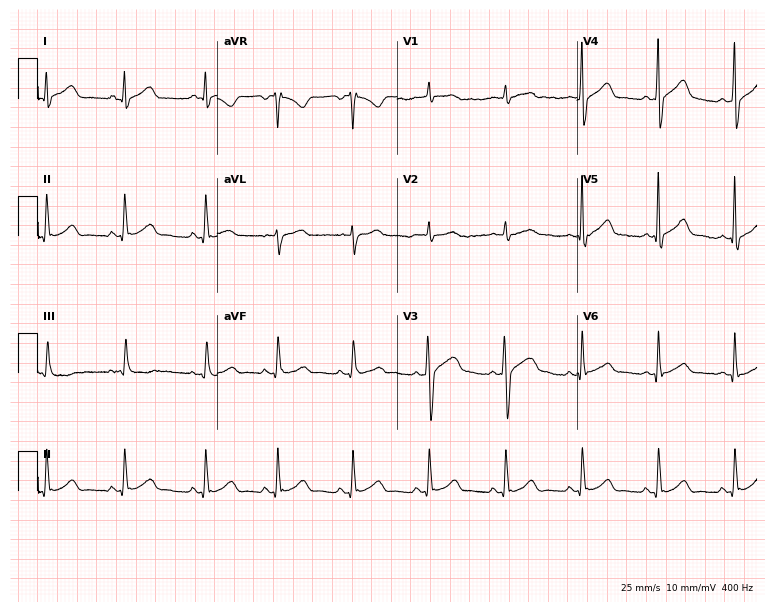
12-lead ECG (7.3-second recording at 400 Hz) from a male, 30 years old. Labelled as a normal ECG.